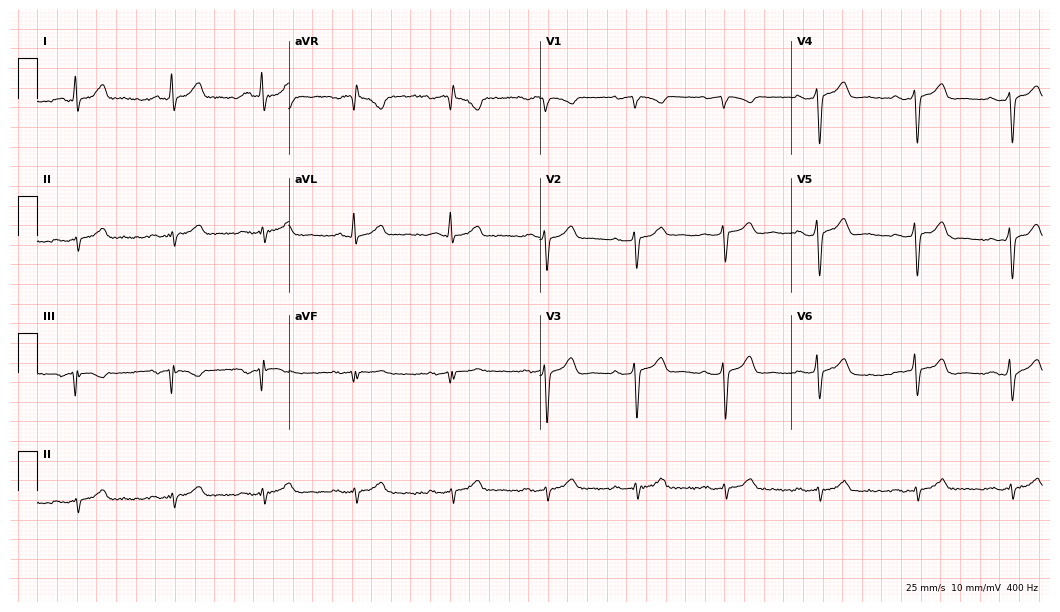
12-lead ECG from a man, 58 years old. No first-degree AV block, right bundle branch block (RBBB), left bundle branch block (LBBB), sinus bradycardia, atrial fibrillation (AF) or sinus tachycardia recorded for this tracing. Other findings, if any, are not listed.